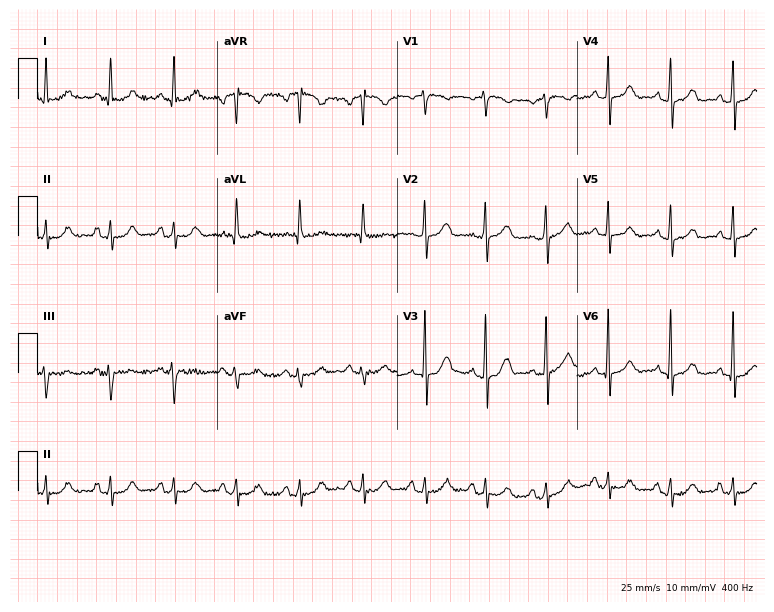
12-lead ECG from a woman, 81 years old. Labelled as a normal ECG.